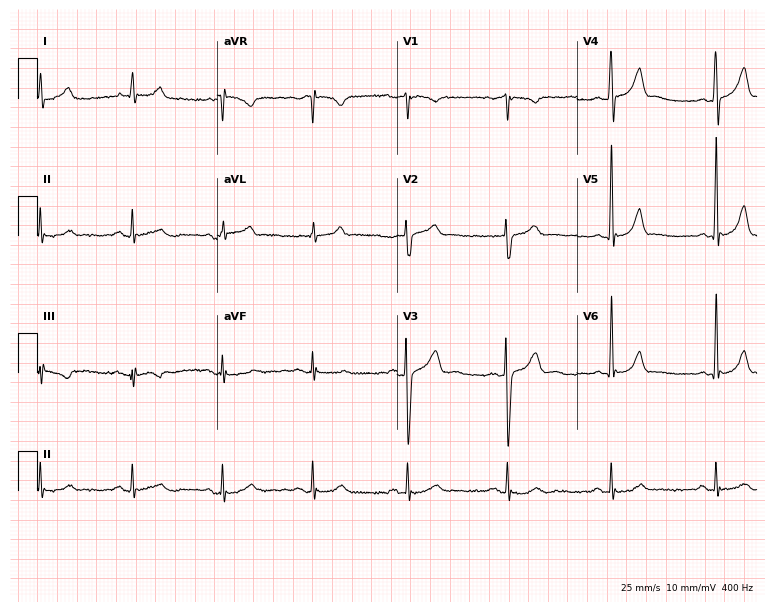
12-lead ECG from a male, 46 years old (7.3-second recording at 400 Hz). Recorded interpretation: within normal limits.